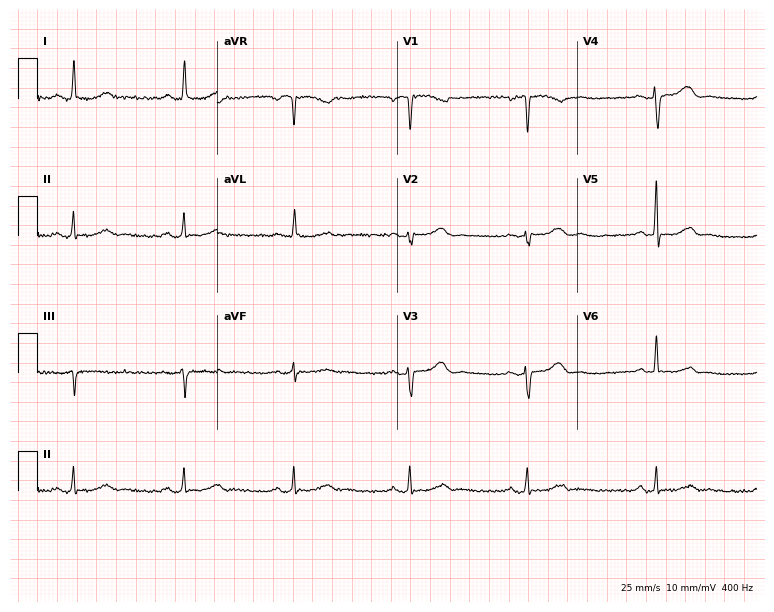
Standard 12-lead ECG recorded from a 53-year-old female patient. None of these six findings is recorded: first-degree AV block, right bundle branch block (RBBB), left bundle branch block (LBBB), sinus bradycardia, atrial fibrillation (AF), sinus tachycardia. Findings outside these six are not listed.